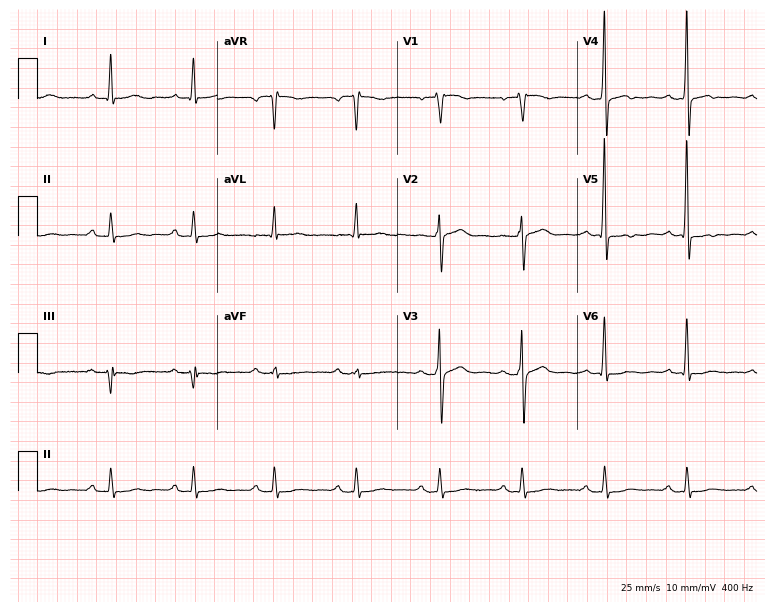
Resting 12-lead electrocardiogram (7.3-second recording at 400 Hz). Patient: a 65-year-old male. None of these six findings is recorded: first-degree AV block, right bundle branch block, left bundle branch block, sinus bradycardia, atrial fibrillation, sinus tachycardia. Only these six findings were labelled.